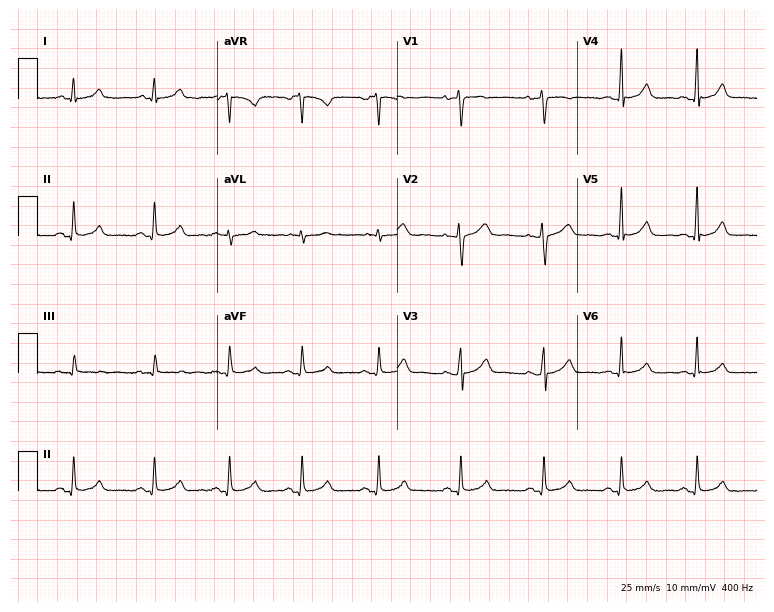
Electrocardiogram (7.3-second recording at 400 Hz), a female patient, 26 years old. Overall reading on record: normal ECG.